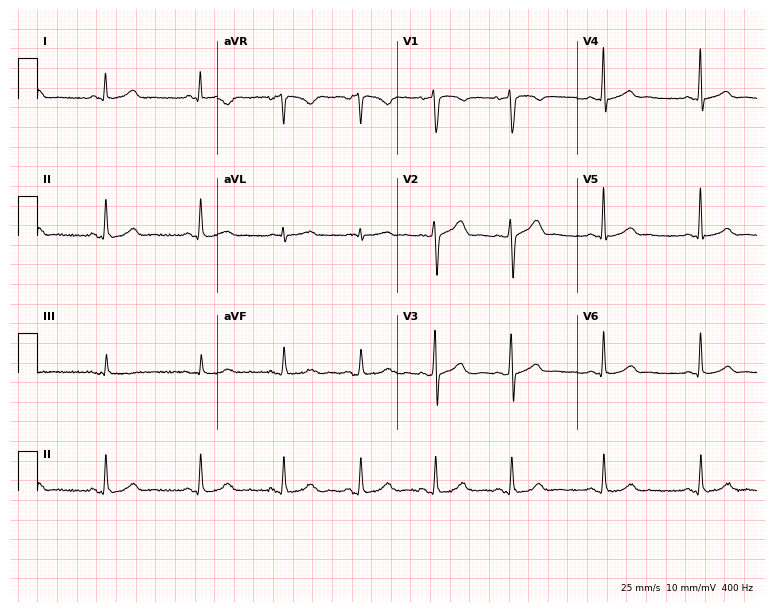
12-lead ECG from a woman, 43 years old. Labelled as a normal ECG.